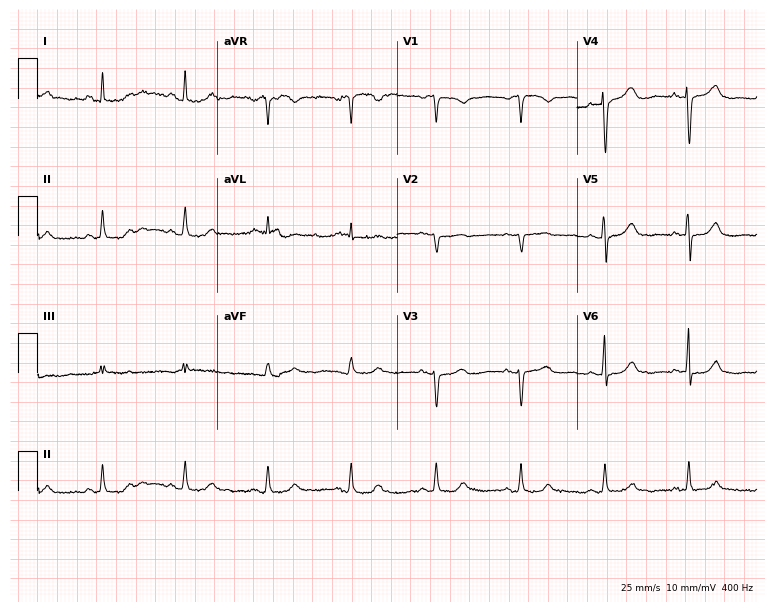
12-lead ECG from a 51-year-old female patient. Labelled as a normal ECG.